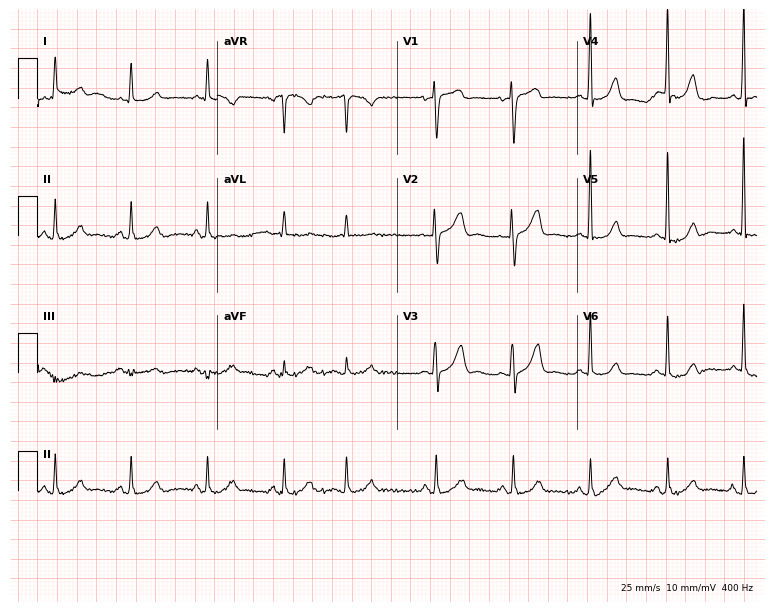
Resting 12-lead electrocardiogram. Patient: a male, 73 years old. Read as a normal ECG.